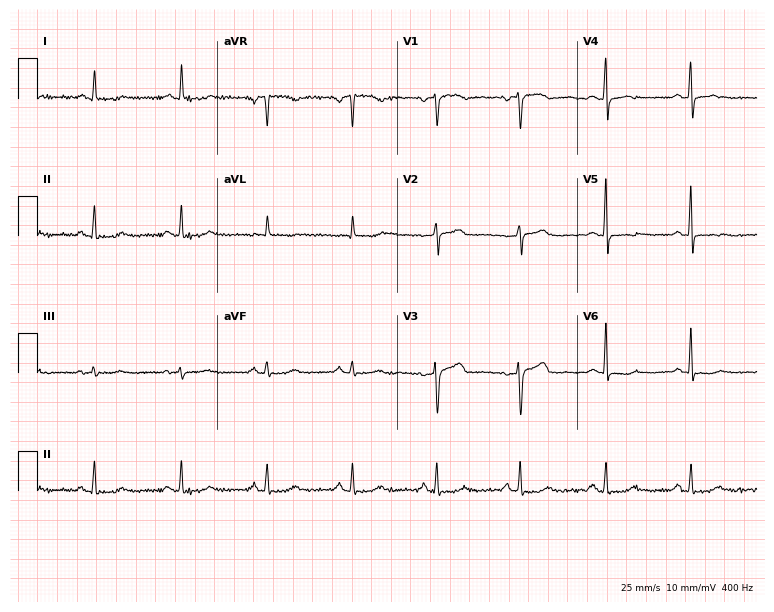
Standard 12-lead ECG recorded from a 51-year-old female patient. Read as a normal ECG.